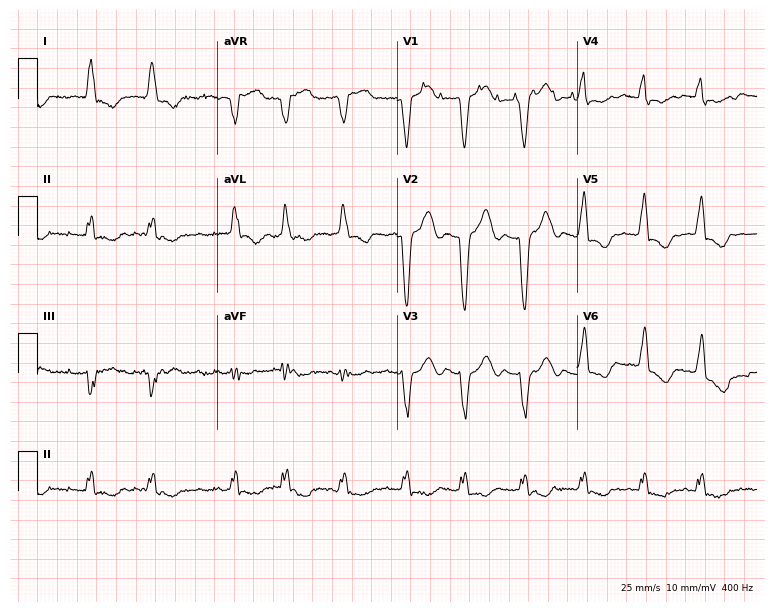
12-lead ECG from a 78-year-old female (7.3-second recording at 400 Hz). Shows left bundle branch block, atrial fibrillation.